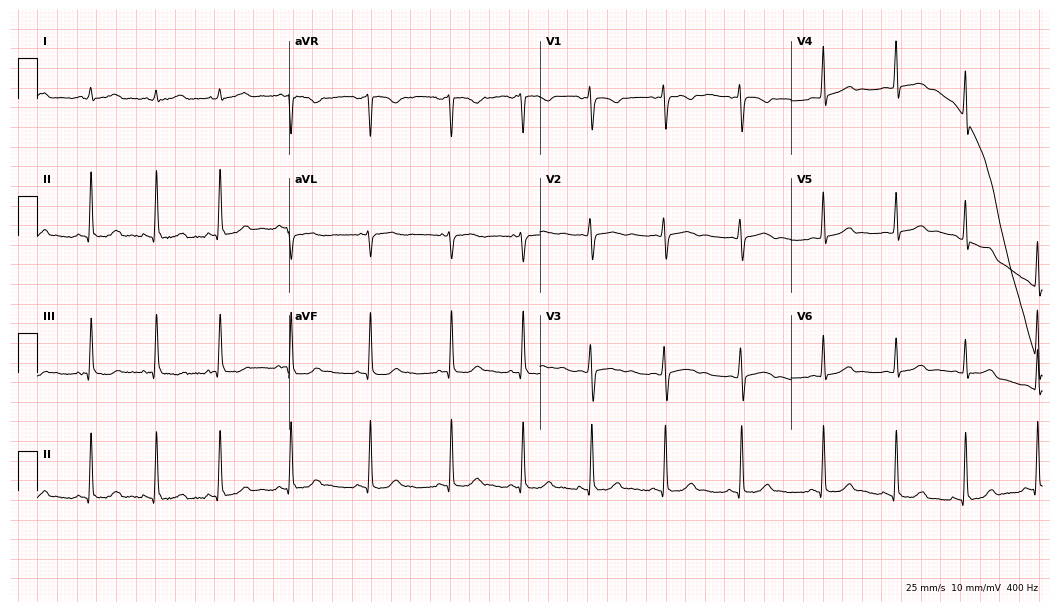
Standard 12-lead ECG recorded from a female, 84 years old (10.2-second recording at 400 Hz). None of these six findings is recorded: first-degree AV block, right bundle branch block (RBBB), left bundle branch block (LBBB), sinus bradycardia, atrial fibrillation (AF), sinus tachycardia. Other findings, if any, are not listed.